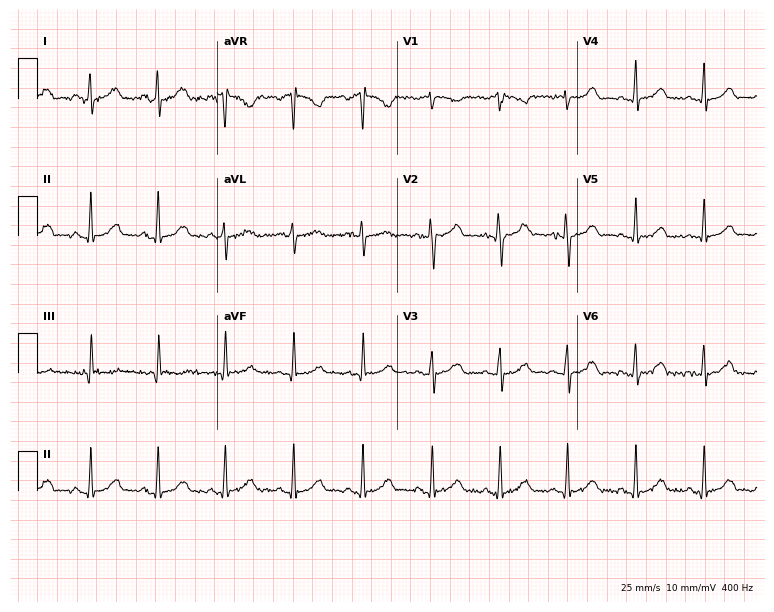
ECG — a 36-year-old female patient. Labelled as a normal ECG.